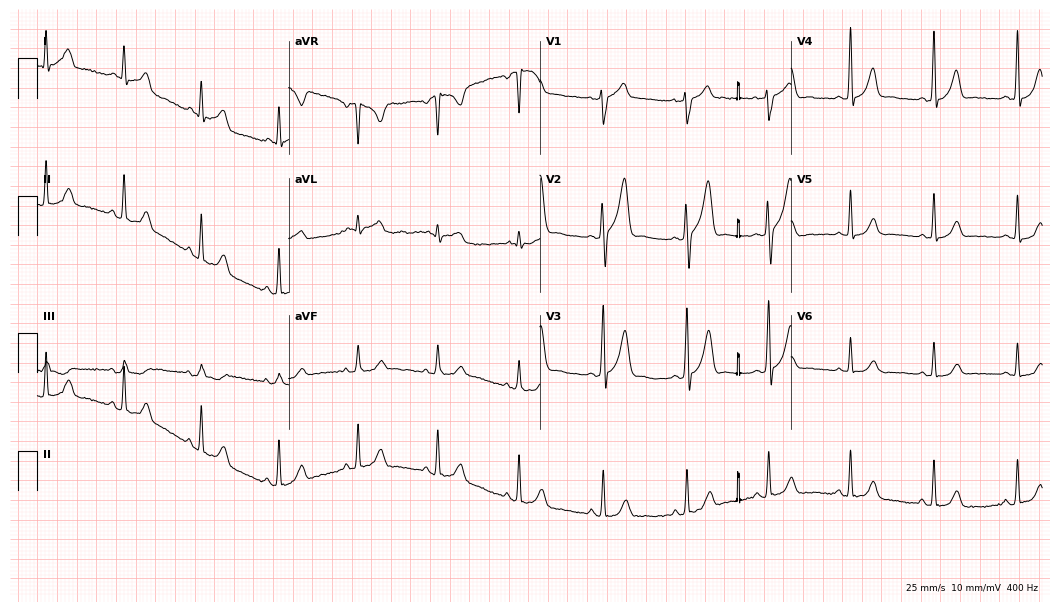
12-lead ECG from a 47-year-old male patient. Recorded interpretation: within normal limits.